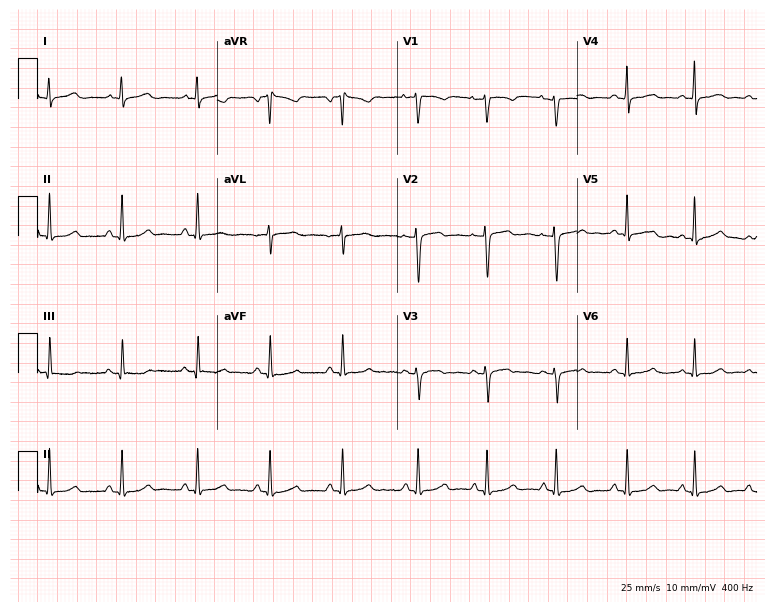
Resting 12-lead electrocardiogram. Patient: a female, 35 years old. None of these six findings is recorded: first-degree AV block, right bundle branch block, left bundle branch block, sinus bradycardia, atrial fibrillation, sinus tachycardia. Other findings, if any, are not listed.